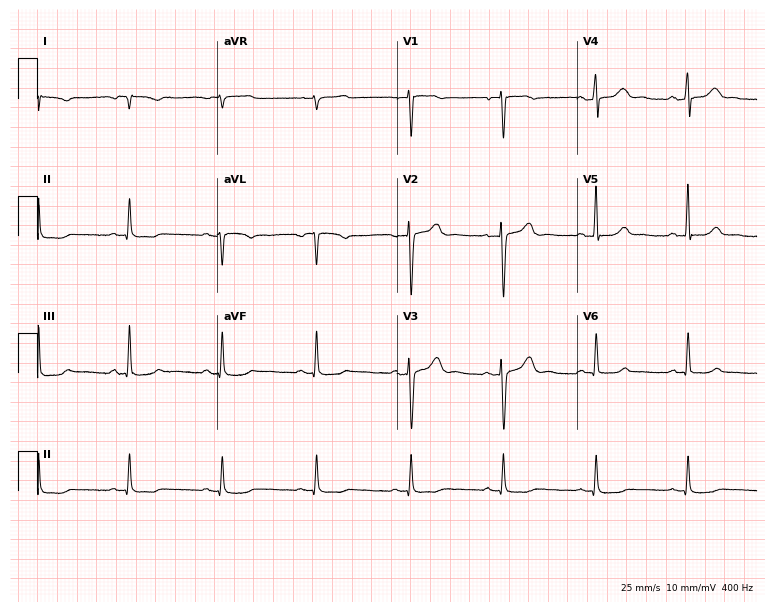
Resting 12-lead electrocardiogram (7.3-second recording at 400 Hz). Patient: a female, 38 years old. None of these six findings is recorded: first-degree AV block, right bundle branch block, left bundle branch block, sinus bradycardia, atrial fibrillation, sinus tachycardia.